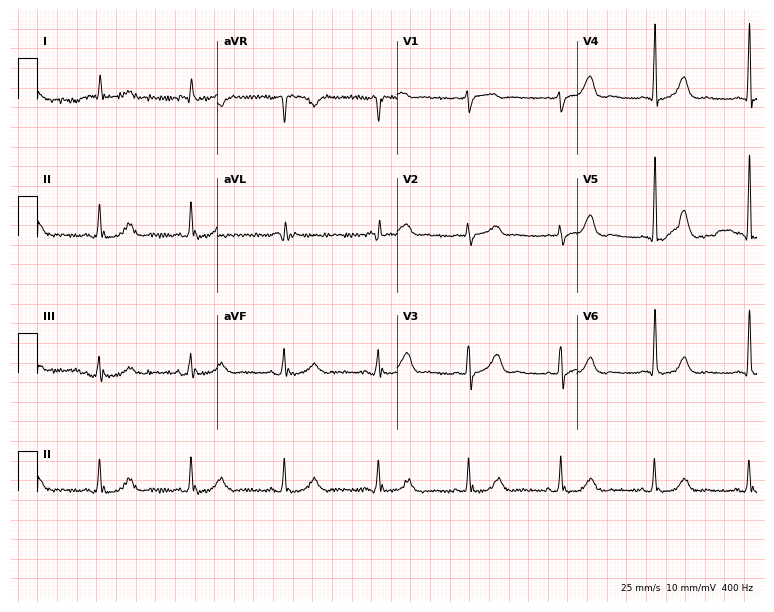
12-lead ECG (7.3-second recording at 400 Hz) from an 82-year-old male patient. Labelled as a normal ECG.